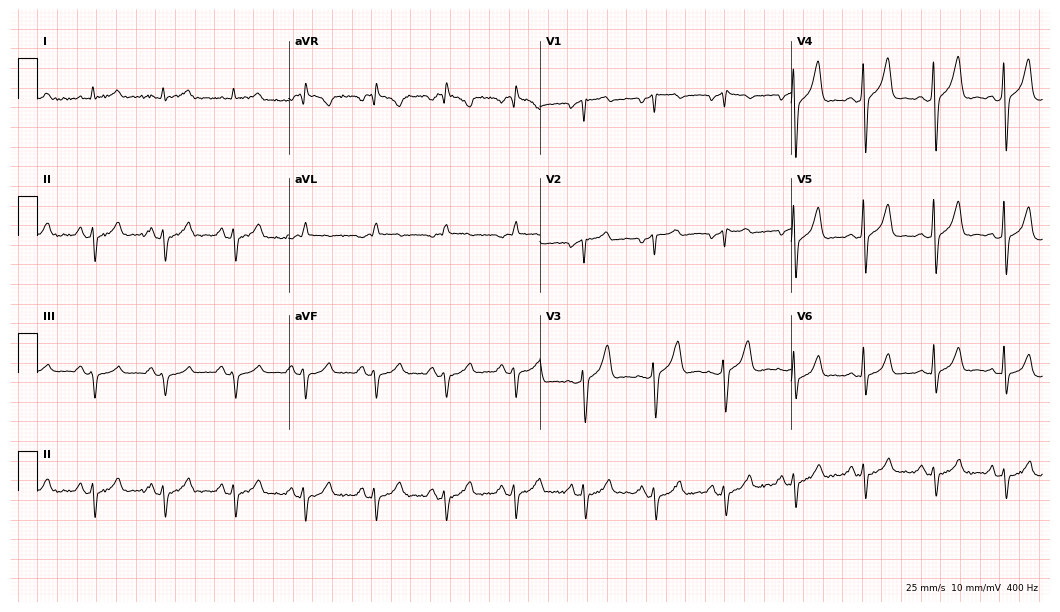
ECG — a man, 56 years old. Screened for six findings — first-degree AV block, right bundle branch block (RBBB), left bundle branch block (LBBB), sinus bradycardia, atrial fibrillation (AF), sinus tachycardia — none is recorded. Other findings, if any, are not listed.